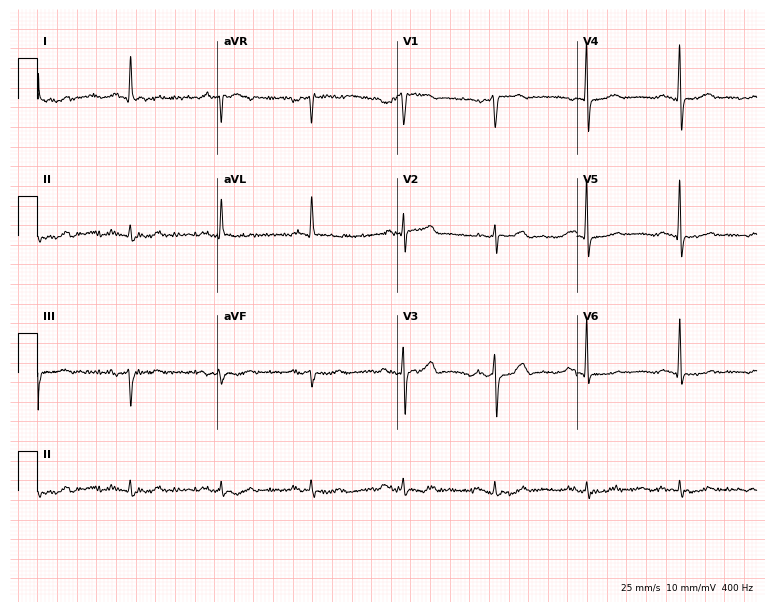
ECG (7.3-second recording at 400 Hz) — a man, 63 years old. Labelled as a normal ECG.